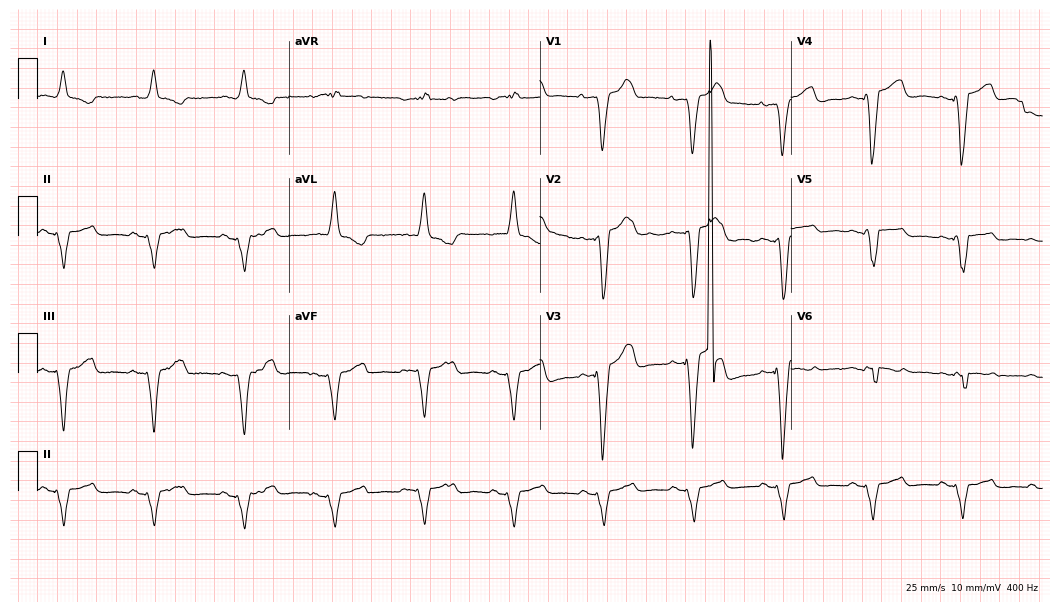
ECG — a 46-year-old man. Screened for six findings — first-degree AV block, right bundle branch block, left bundle branch block, sinus bradycardia, atrial fibrillation, sinus tachycardia — none is recorded.